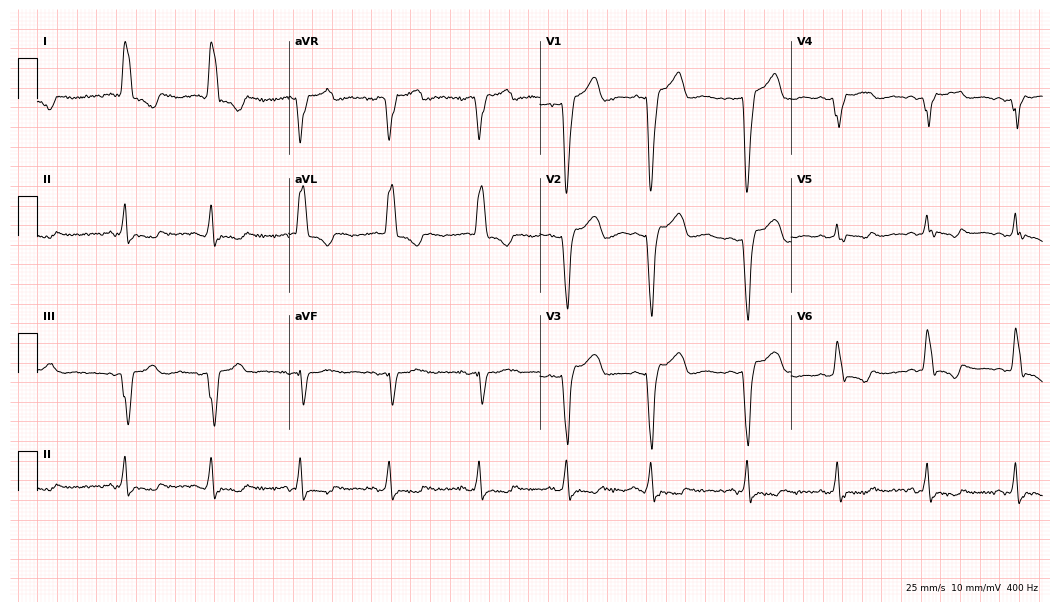
ECG (10.2-second recording at 400 Hz) — a 73-year-old female. Findings include left bundle branch block.